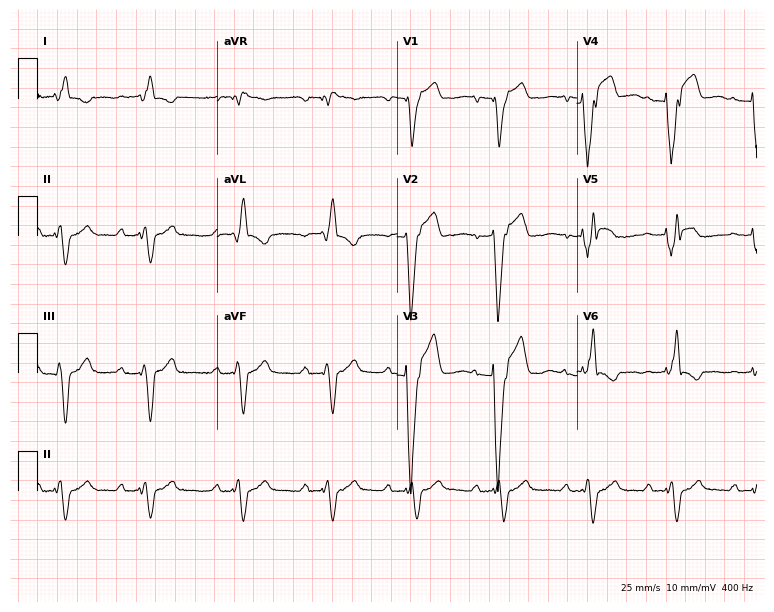
Resting 12-lead electrocardiogram (7.3-second recording at 400 Hz). Patient: a male, 78 years old. The tracing shows first-degree AV block, left bundle branch block.